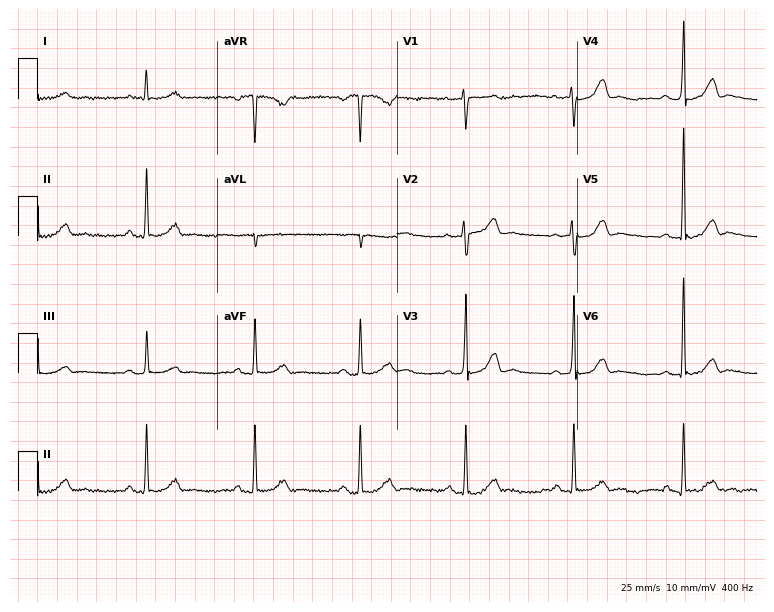
12-lead ECG from a female patient, 47 years old. No first-degree AV block, right bundle branch block, left bundle branch block, sinus bradycardia, atrial fibrillation or sinus tachycardia recorded for this tracing. Findings outside these six are not listed.